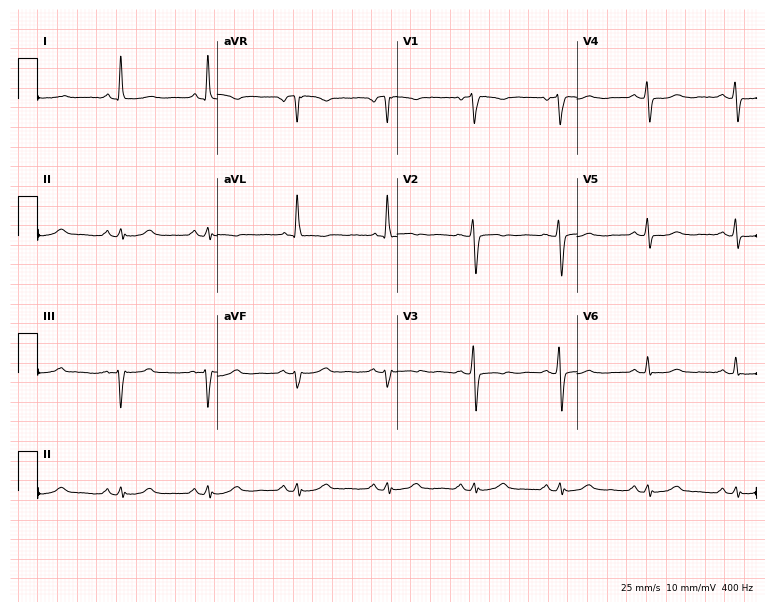
ECG (7.3-second recording at 400 Hz) — a female, 65 years old. Screened for six findings — first-degree AV block, right bundle branch block (RBBB), left bundle branch block (LBBB), sinus bradycardia, atrial fibrillation (AF), sinus tachycardia — none is recorded. Findings outside these six are not listed.